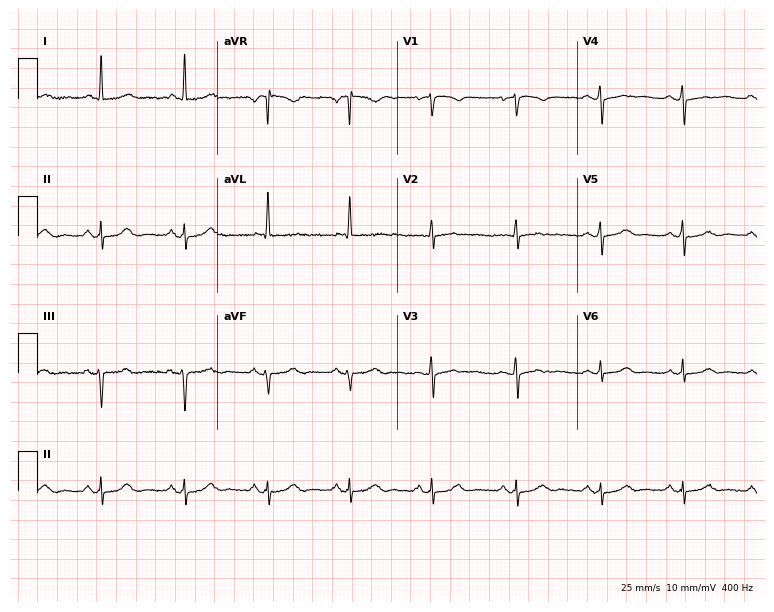
12-lead ECG (7.3-second recording at 400 Hz) from a female, 58 years old. Screened for six findings — first-degree AV block, right bundle branch block, left bundle branch block, sinus bradycardia, atrial fibrillation, sinus tachycardia — none is recorded.